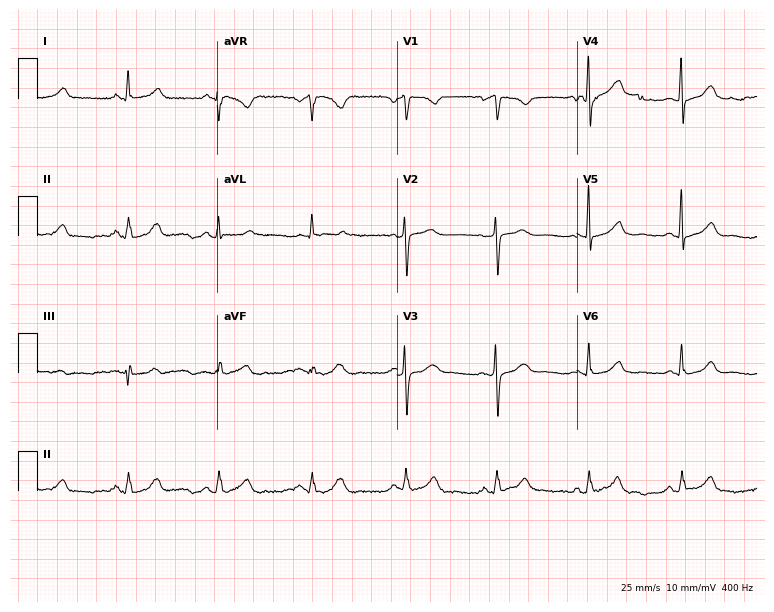
ECG (7.3-second recording at 400 Hz) — a female, 56 years old. Labelled as a normal ECG.